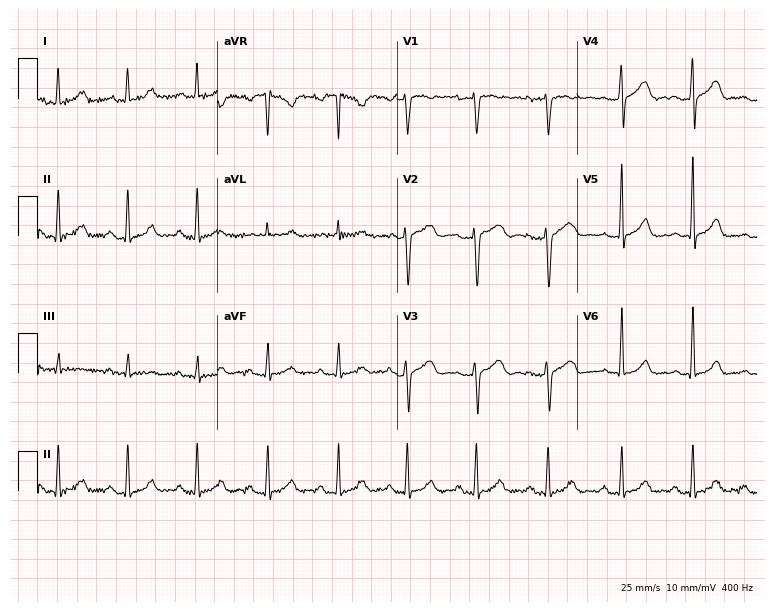
Resting 12-lead electrocardiogram (7.3-second recording at 400 Hz). Patient: a female, 26 years old. None of these six findings is recorded: first-degree AV block, right bundle branch block (RBBB), left bundle branch block (LBBB), sinus bradycardia, atrial fibrillation (AF), sinus tachycardia. Findings outside these six are not listed.